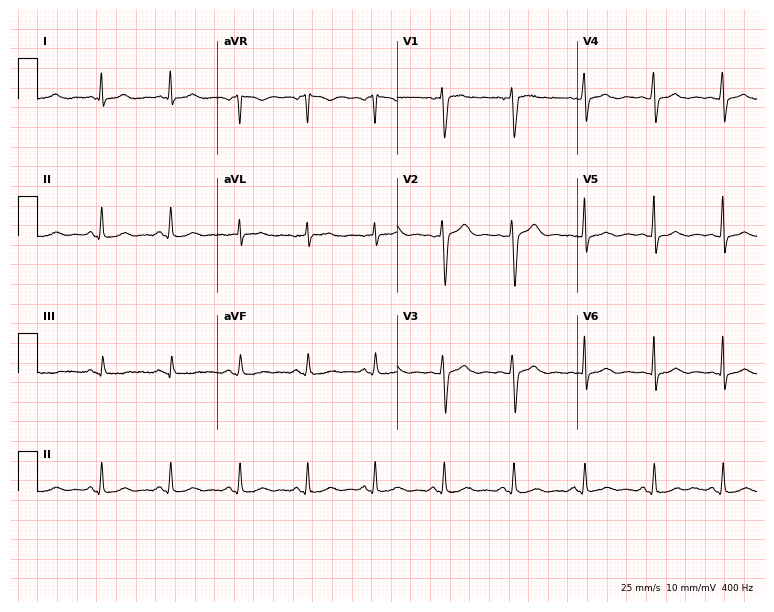
12-lead ECG from a female, 43 years old (7.3-second recording at 400 Hz). No first-degree AV block, right bundle branch block, left bundle branch block, sinus bradycardia, atrial fibrillation or sinus tachycardia recorded for this tracing. Only these six findings were labelled.